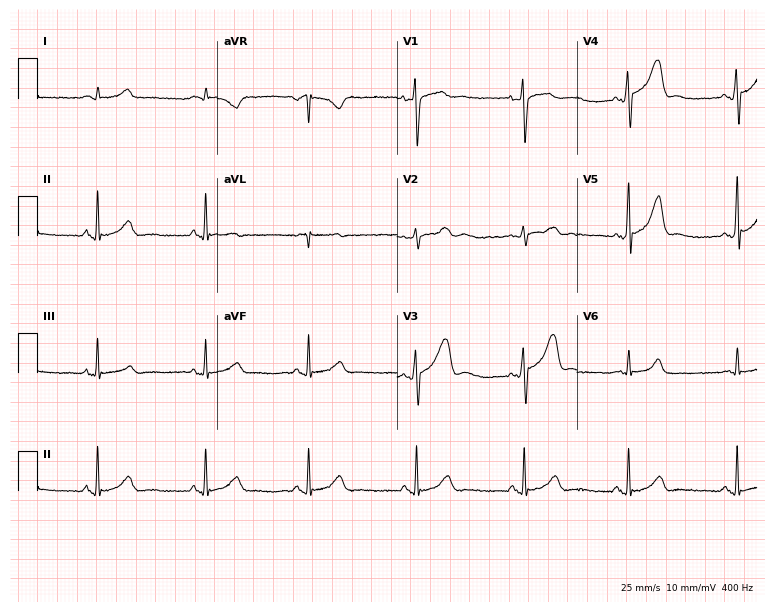
12-lead ECG from a male, 36 years old (7.3-second recording at 400 Hz). Recorded interpretation: within normal limits.